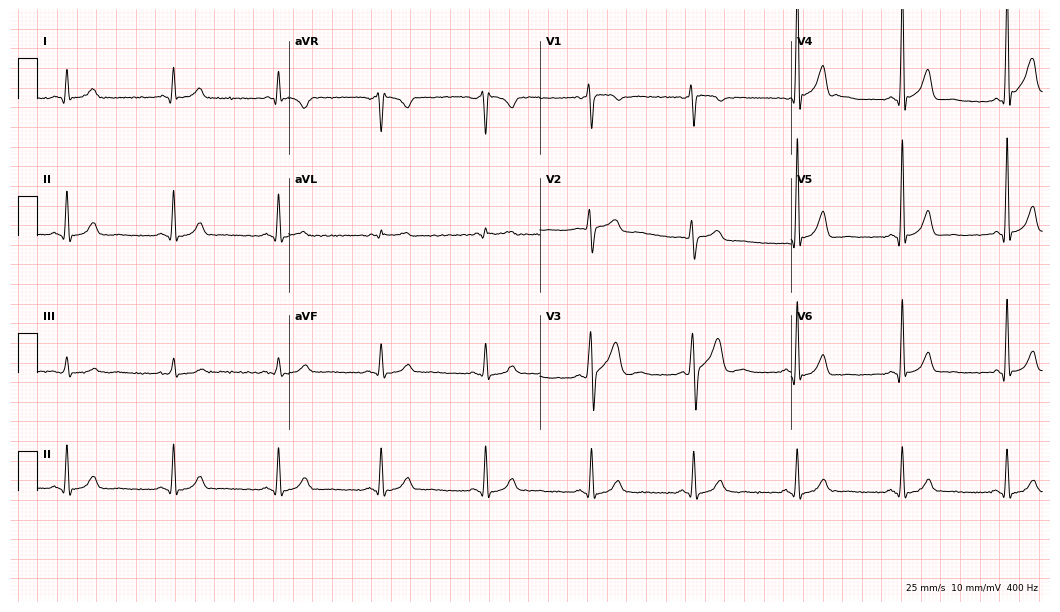
Electrocardiogram (10.2-second recording at 400 Hz), a male, 58 years old. Overall reading on record: normal ECG.